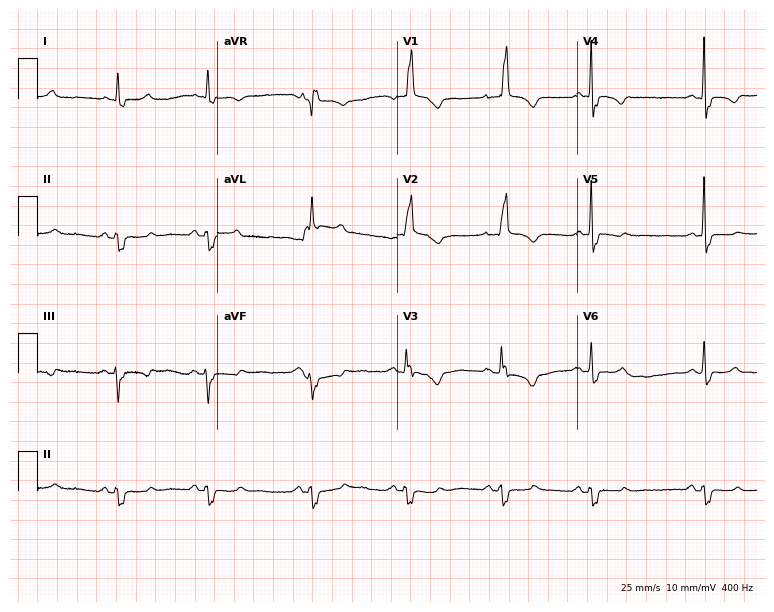
Standard 12-lead ECG recorded from a woman, 84 years old (7.3-second recording at 400 Hz). The tracing shows right bundle branch block (RBBB).